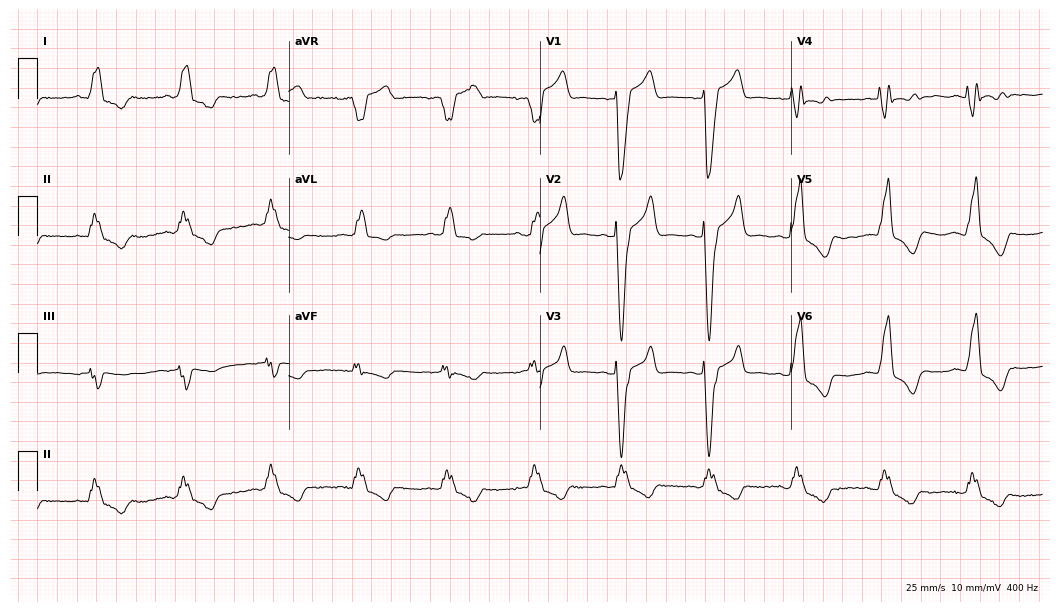
Standard 12-lead ECG recorded from an 82-year-old male patient (10.2-second recording at 400 Hz). The tracing shows left bundle branch block (LBBB).